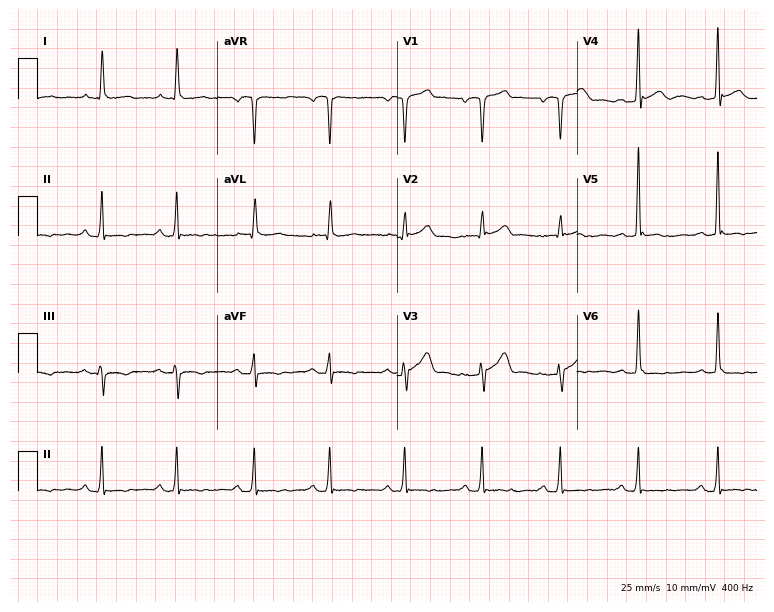
ECG — a 65-year-old male patient. Screened for six findings — first-degree AV block, right bundle branch block, left bundle branch block, sinus bradycardia, atrial fibrillation, sinus tachycardia — none is recorded.